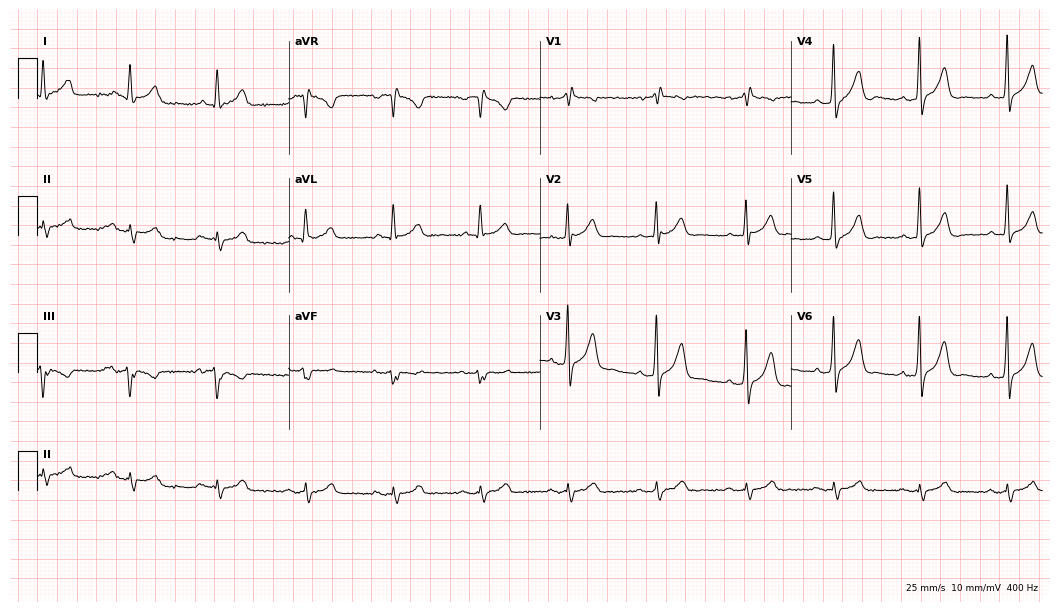
Resting 12-lead electrocardiogram. Patient: a male, 75 years old. The tracing shows right bundle branch block.